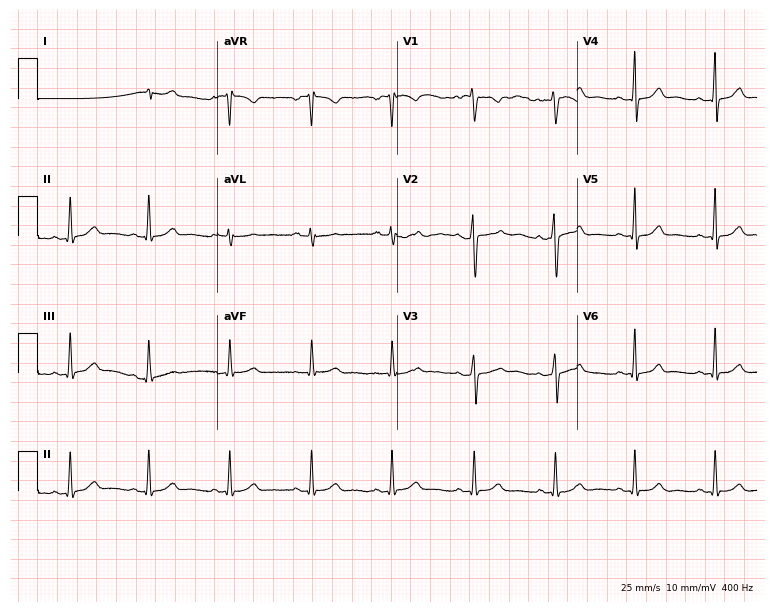
Resting 12-lead electrocardiogram. Patient: a female, 32 years old. None of these six findings is recorded: first-degree AV block, right bundle branch block, left bundle branch block, sinus bradycardia, atrial fibrillation, sinus tachycardia. Only these six findings were labelled.